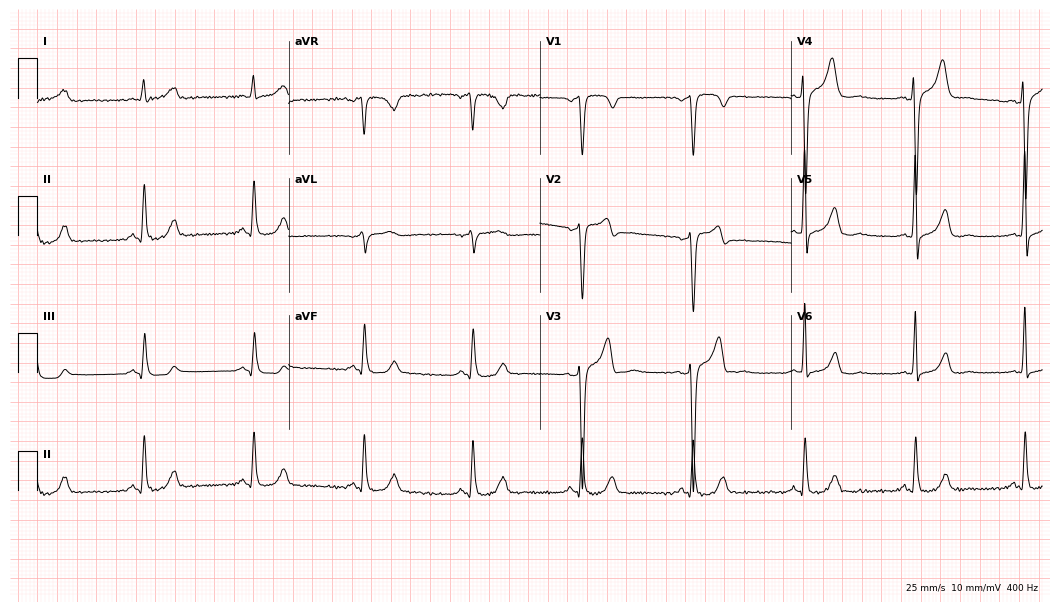
Electrocardiogram, a male patient, 47 years old. Of the six screened findings (first-degree AV block, right bundle branch block (RBBB), left bundle branch block (LBBB), sinus bradycardia, atrial fibrillation (AF), sinus tachycardia), none is recorded. Findings outside these six are not listed.